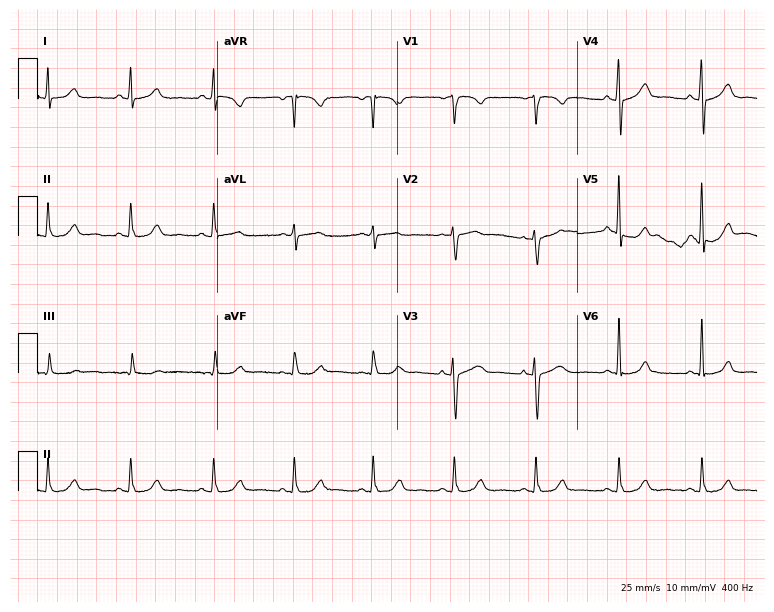
ECG — a woman, 50 years old. Screened for six findings — first-degree AV block, right bundle branch block (RBBB), left bundle branch block (LBBB), sinus bradycardia, atrial fibrillation (AF), sinus tachycardia — none is recorded.